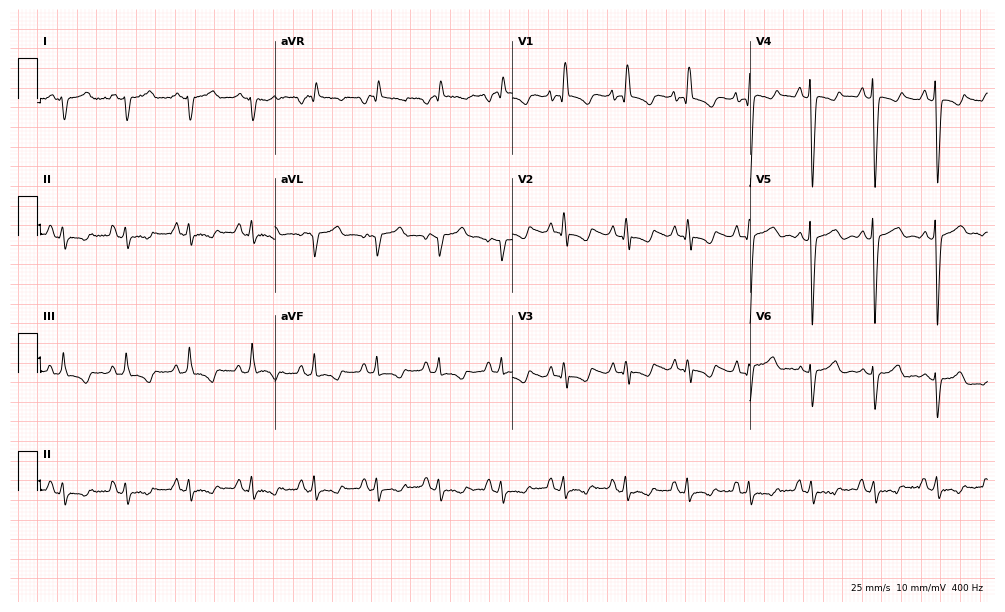
Electrocardiogram, a 56-year-old man. Of the six screened findings (first-degree AV block, right bundle branch block, left bundle branch block, sinus bradycardia, atrial fibrillation, sinus tachycardia), none is recorded.